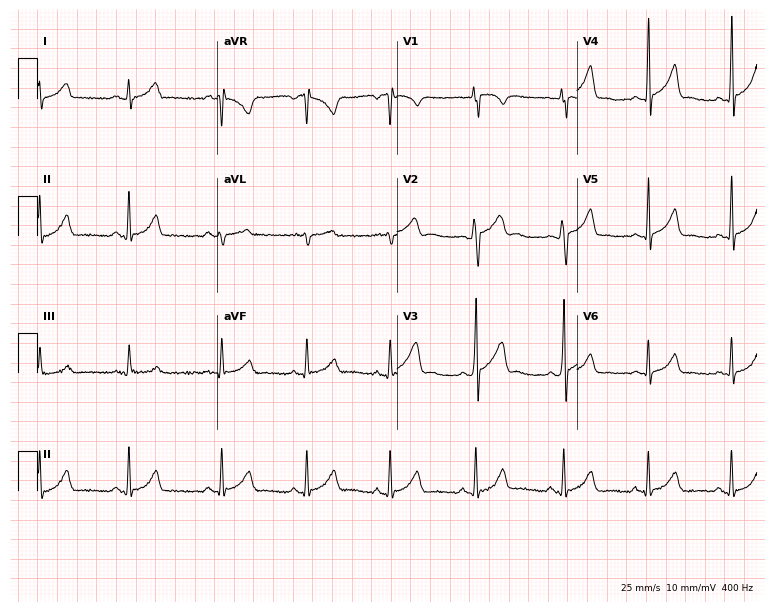
ECG (7.3-second recording at 400 Hz) — a 27-year-old male patient. Labelled as a normal ECG.